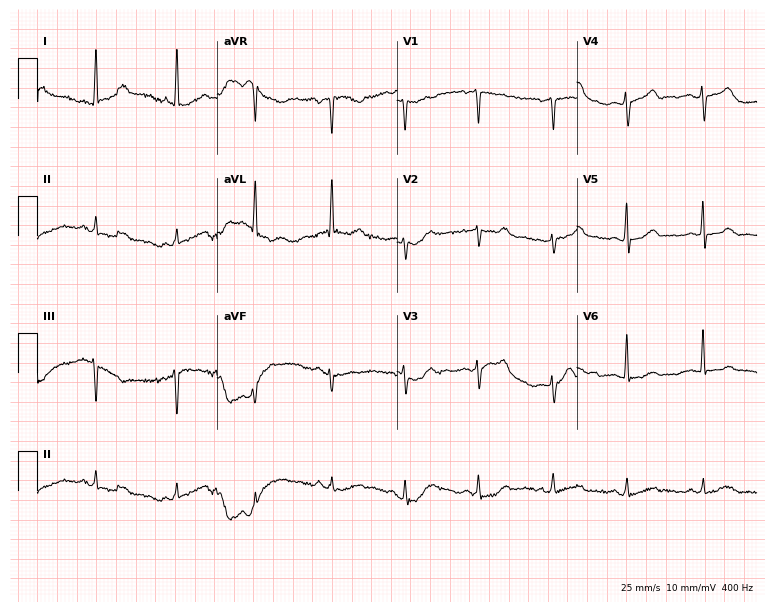
Electrocardiogram (7.3-second recording at 400 Hz), a female, 71 years old. Overall reading on record: normal ECG.